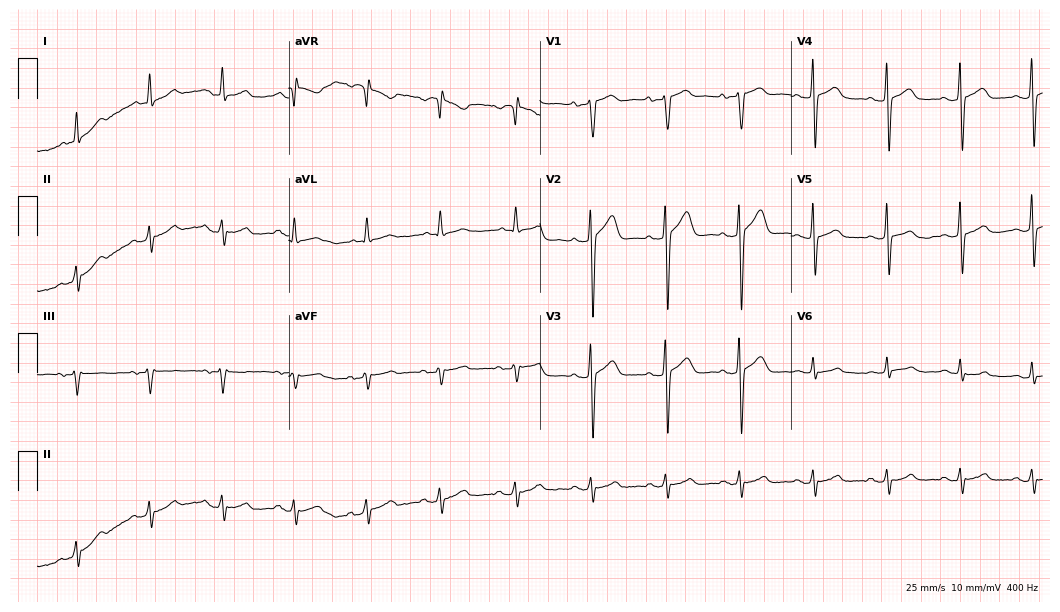
12-lead ECG from a man, 36 years old (10.2-second recording at 400 Hz). No first-degree AV block, right bundle branch block, left bundle branch block, sinus bradycardia, atrial fibrillation or sinus tachycardia recorded for this tracing. Findings outside these six are not listed.